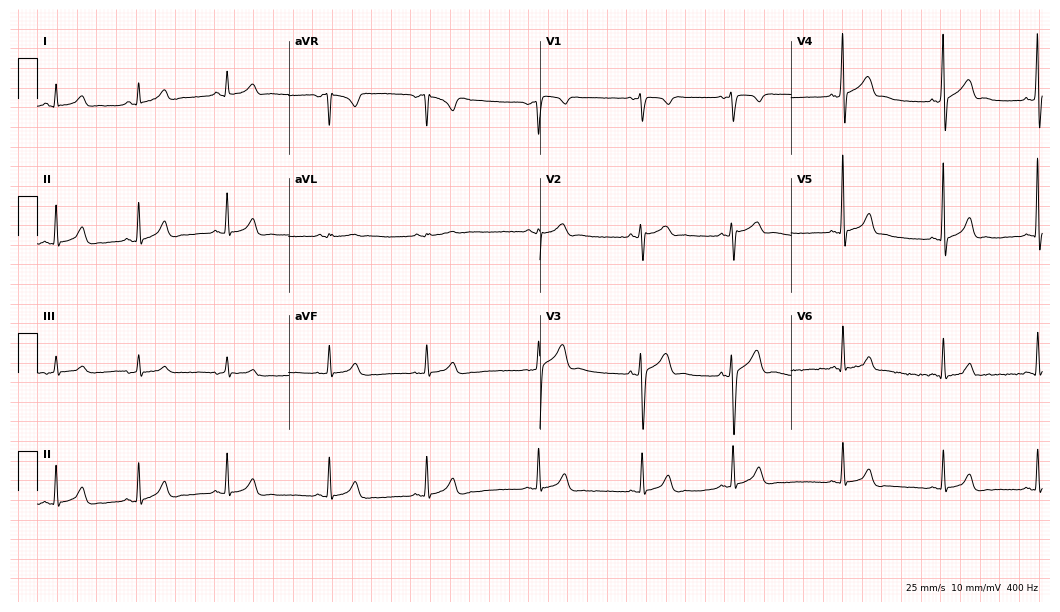
Standard 12-lead ECG recorded from a 19-year-old male. Read as a normal ECG.